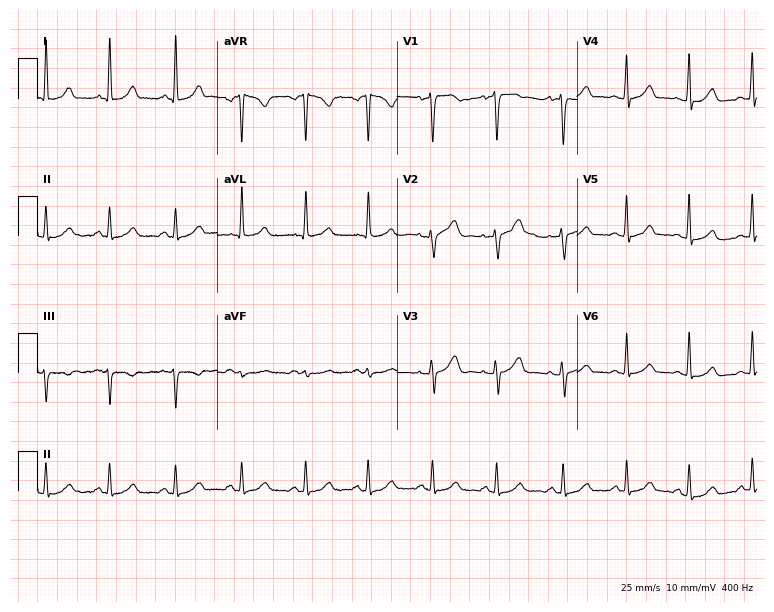
12-lead ECG from a female patient, 48 years old. Recorded interpretation: within normal limits.